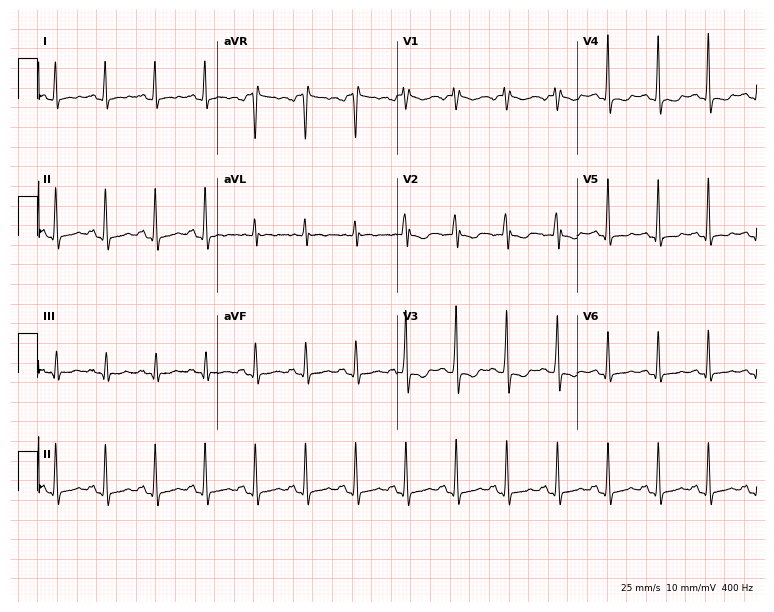
Standard 12-lead ECG recorded from a 44-year-old female (7.3-second recording at 400 Hz). None of these six findings is recorded: first-degree AV block, right bundle branch block, left bundle branch block, sinus bradycardia, atrial fibrillation, sinus tachycardia. Other findings, if any, are not listed.